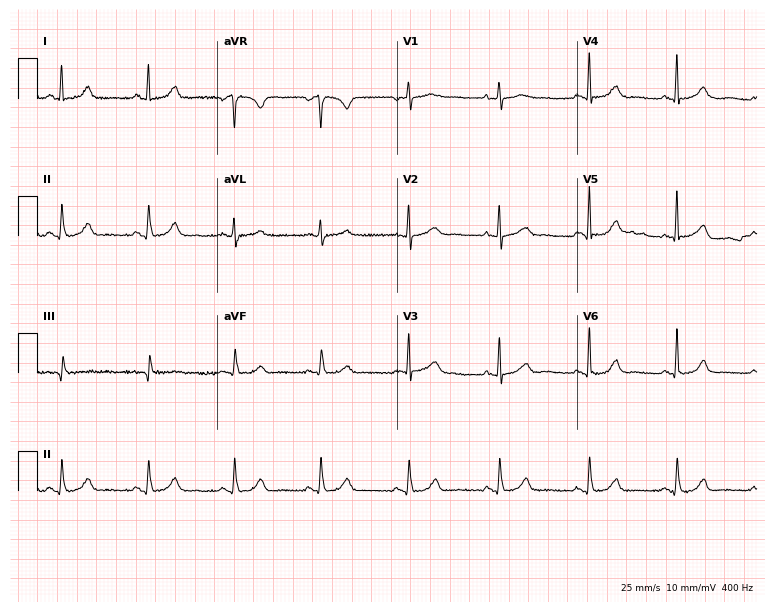
12-lead ECG (7.3-second recording at 400 Hz) from a female patient, 55 years old. Labelled as a normal ECG.